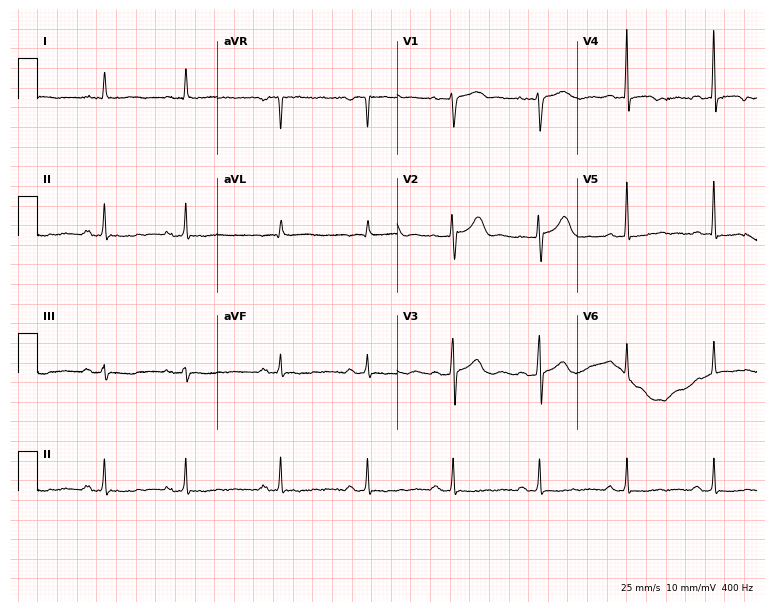
Standard 12-lead ECG recorded from a woman, 63 years old (7.3-second recording at 400 Hz). None of these six findings is recorded: first-degree AV block, right bundle branch block (RBBB), left bundle branch block (LBBB), sinus bradycardia, atrial fibrillation (AF), sinus tachycardia.